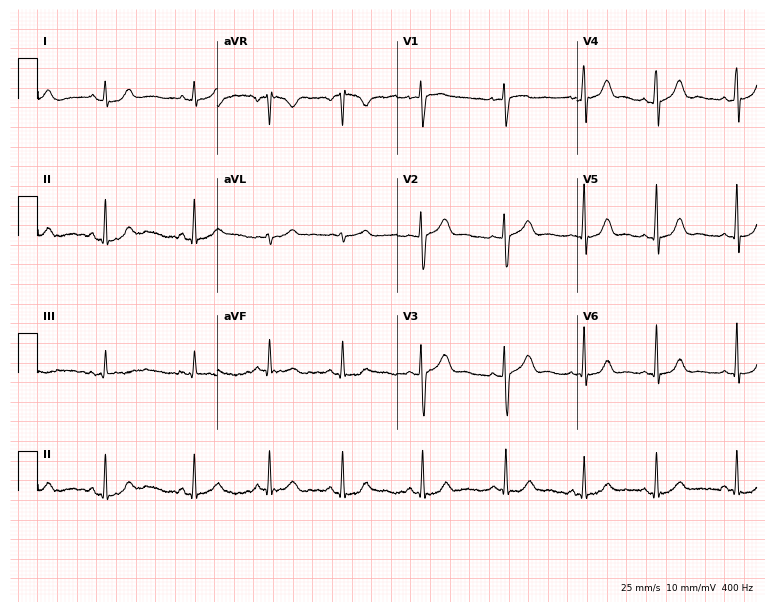
ECG (7.3-second recording at 400 Hz) — a female, 24 years old. Labelled as a normal ECG.